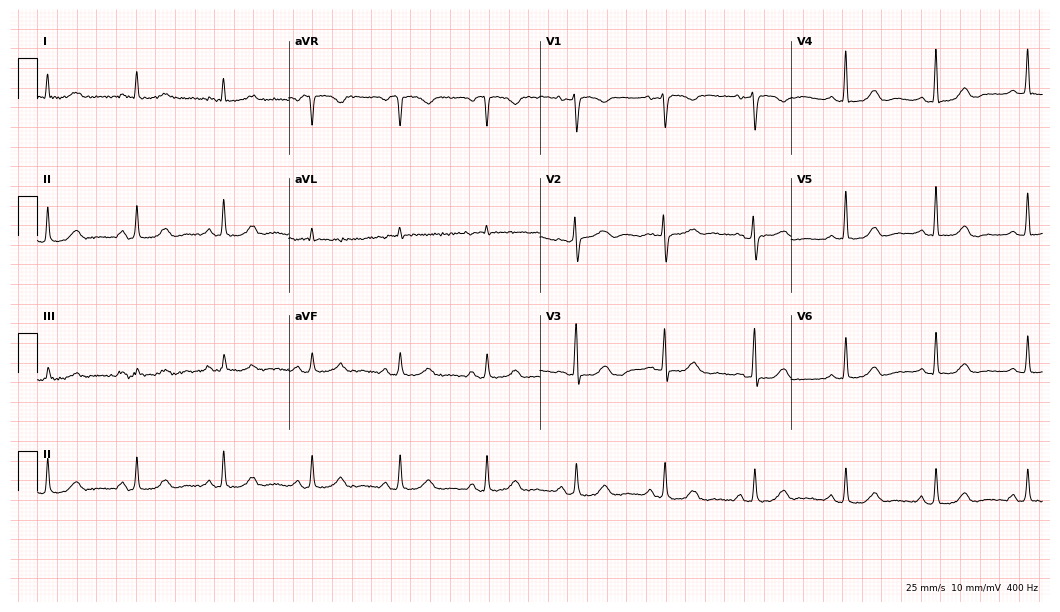
12-lead ECG from an 85-year-old woman. Labelled as a normal ECG.